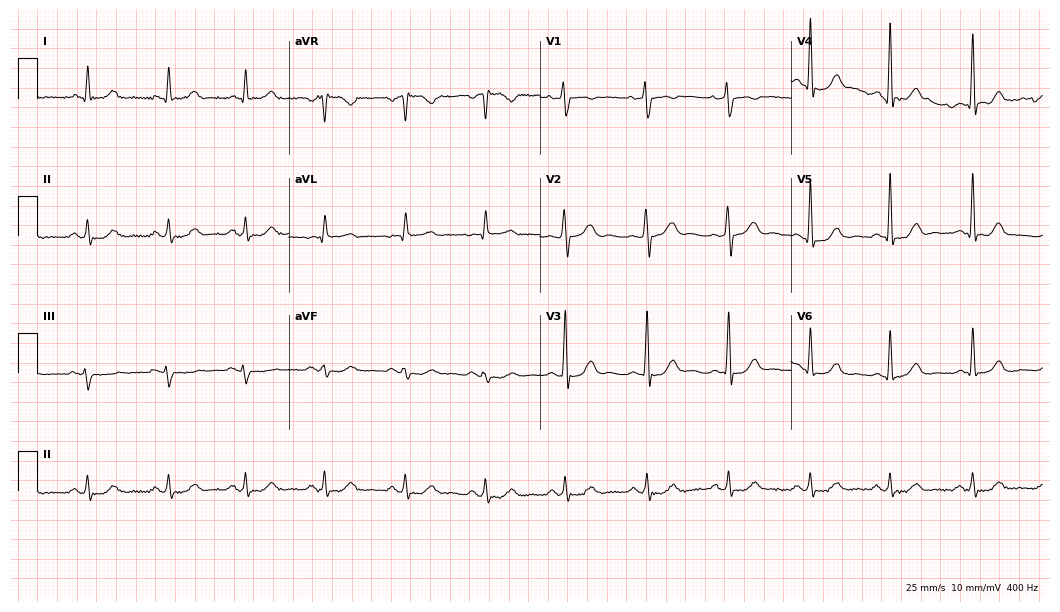
12-lead ECG from a 59-year-old female patient (10.2-second recording at 400 Hz). Recorded interpretation: within normal limits.